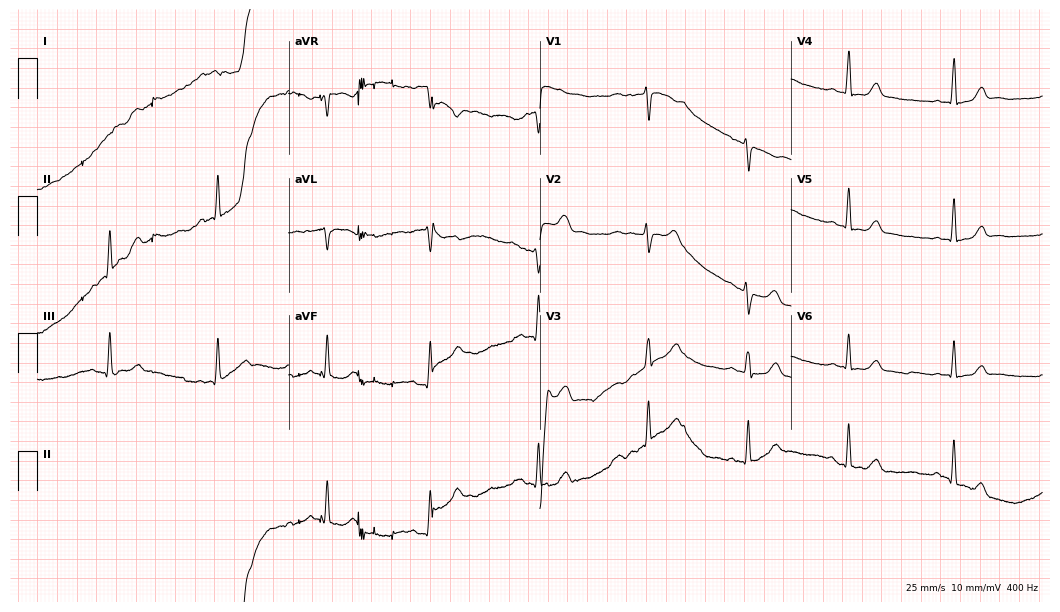
ECG (10.2-second recording at 400 Hz) — a 37-year-old female patient. Labelled as a normal ECG.